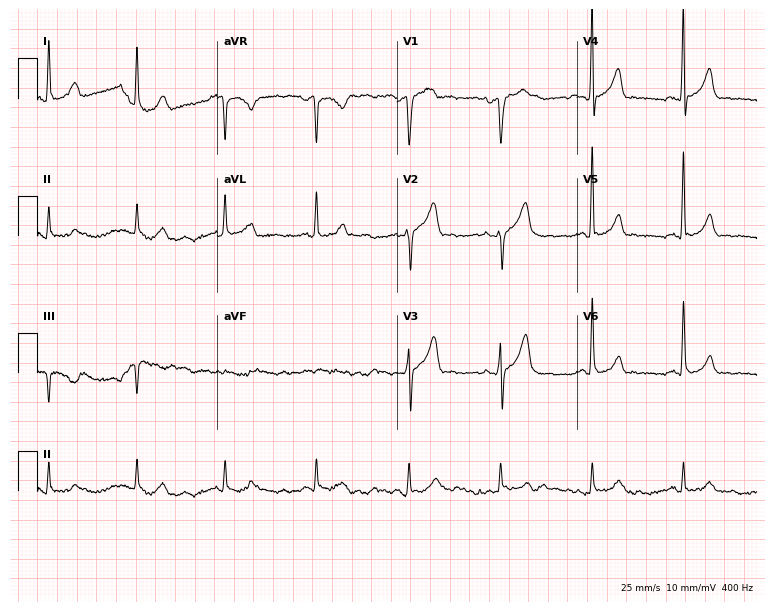
Electrocardiogram, a female, 76 years old. Overall reading on record: normal ECG.